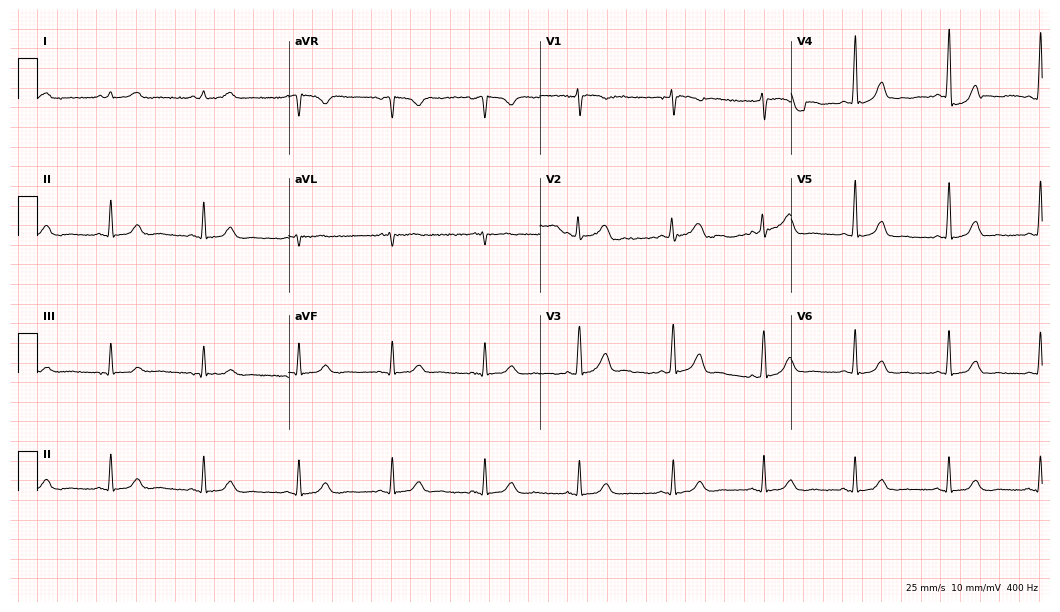
12-lead ECG from a 52-year-old female. Screened for six findings — first-degree AV block, right bundle branch block (RBBB), left bundle branch block (LBBB), sinus bradycardia, atrial fibrillation (AF), sinus tachycardia — none is recorded. Findings outside these six are not listed.